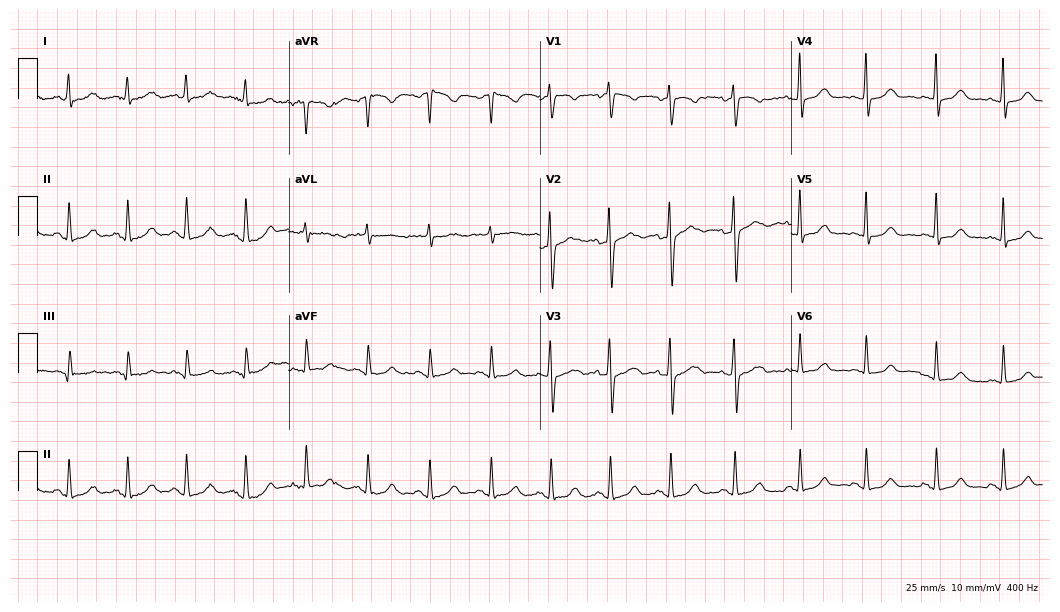
12-lead ECG from a female patient, 38 years old. Recorded interpretation: within normal limits.